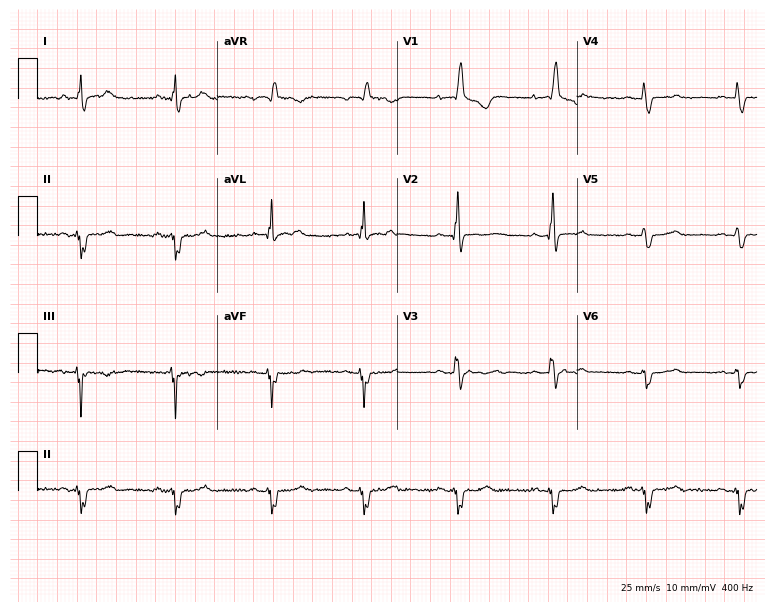
Electrocardiogram (7.3-second recording at 400 Hz), a female patient, 38 years old. Interpretation includes right bundle branch block (RBBB).